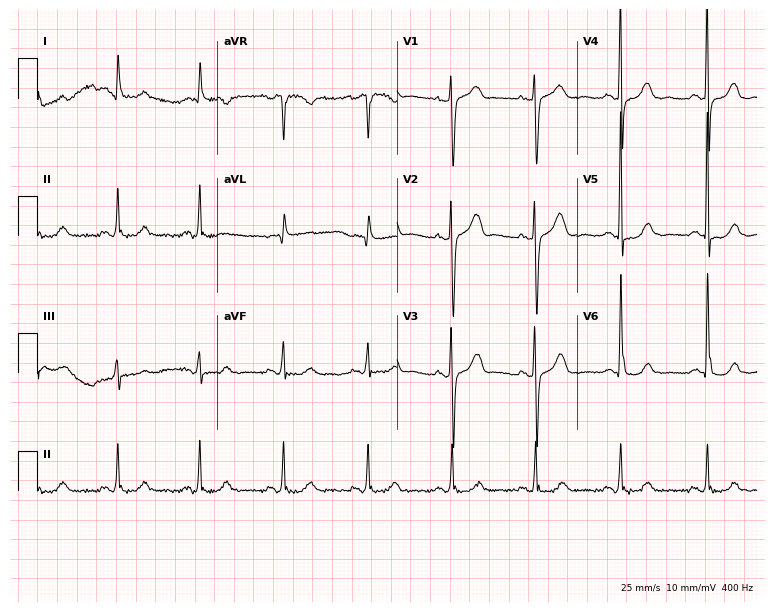
Standard 12-lead ECG recorded from a woman, 67 years old. None of these six findings is recorded: first-degree AV block, right bundle branch block (RBBB), left bundle branch block (LBBB), sinus bradycardia, atrial fibrillation (AF), sinus tachycardia.